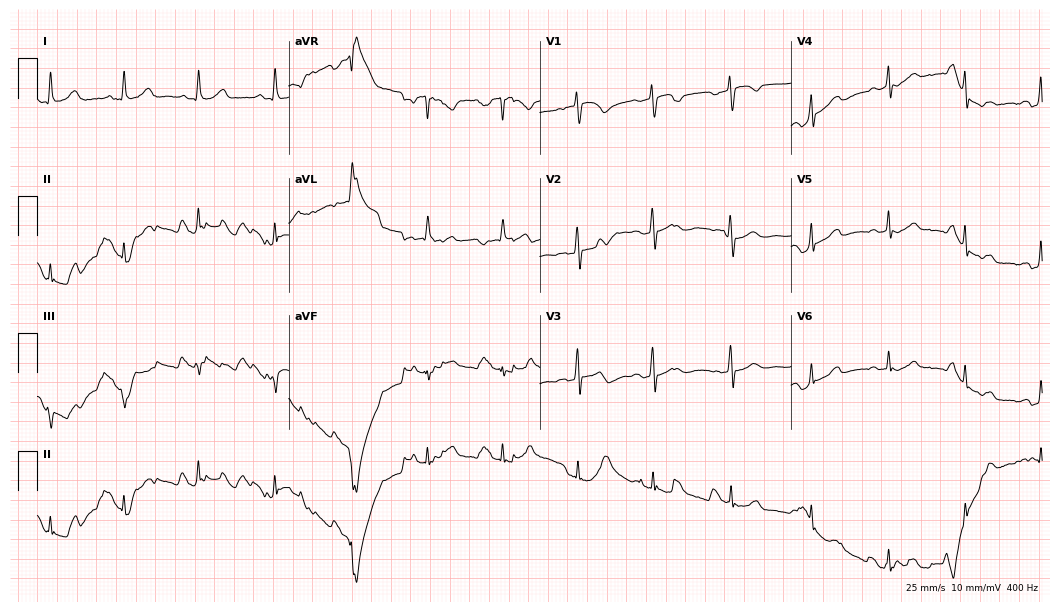
12-lead ECG from a 73-year-old female patient. Labelled as a normal ECG.